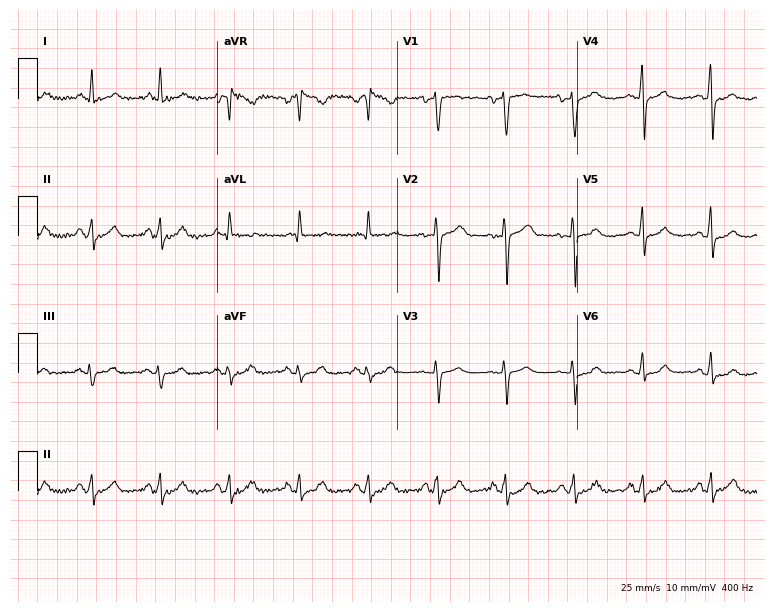
12-lead ECG (7.3-second recording at 400 Hz) from a female, 49 years old. Screened for six findings — first-degree AV block, right bundle branch block, left bundle branch block, sinus bradycardia, atrial fibrillation, sinus tachycardia — none is recorded.